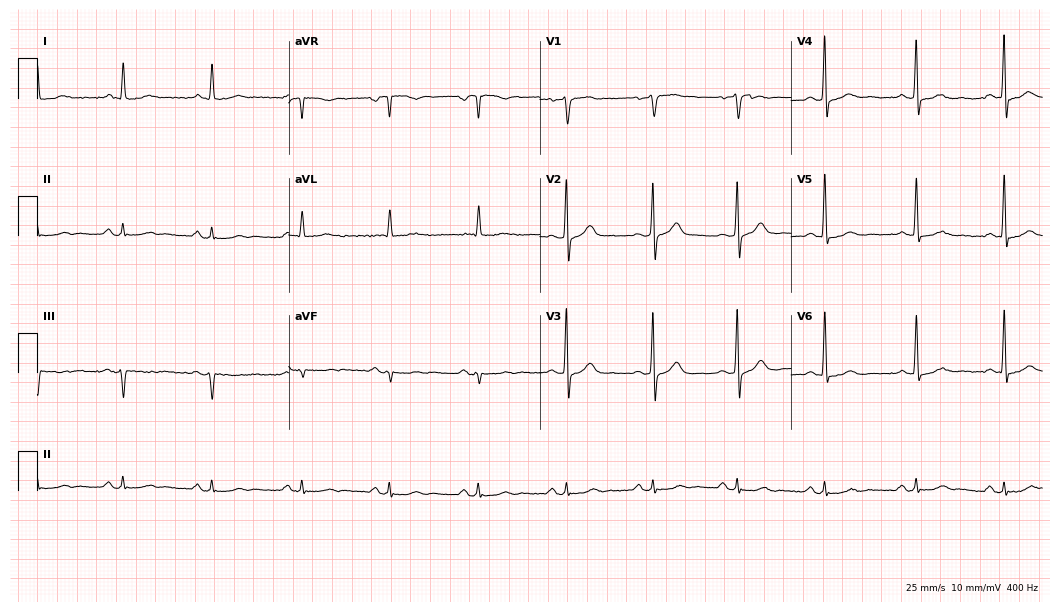
ECG — a male, 61 years old. Screened for six findings — first-degree AV block, right bundle branch block, left bundle branch block, sinus bradycardia, atrial fibrillation, sinus tachycardia — none is recorded.